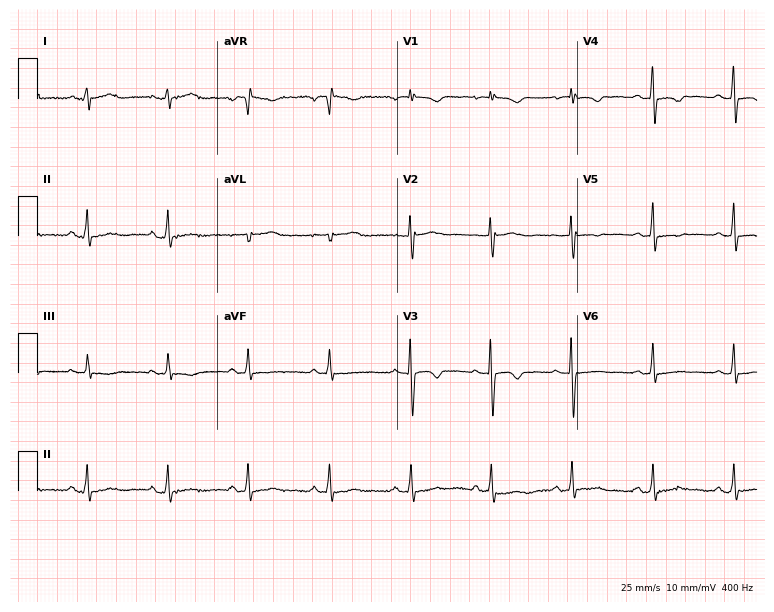
12-lead ECG from a female, 54 years old. Screened for six findings — first-degree AV block, right bundle branch block, left bundle branch block, sinus bradycardia, atrial fibrillation, sinus tachycardia — none is recorded.